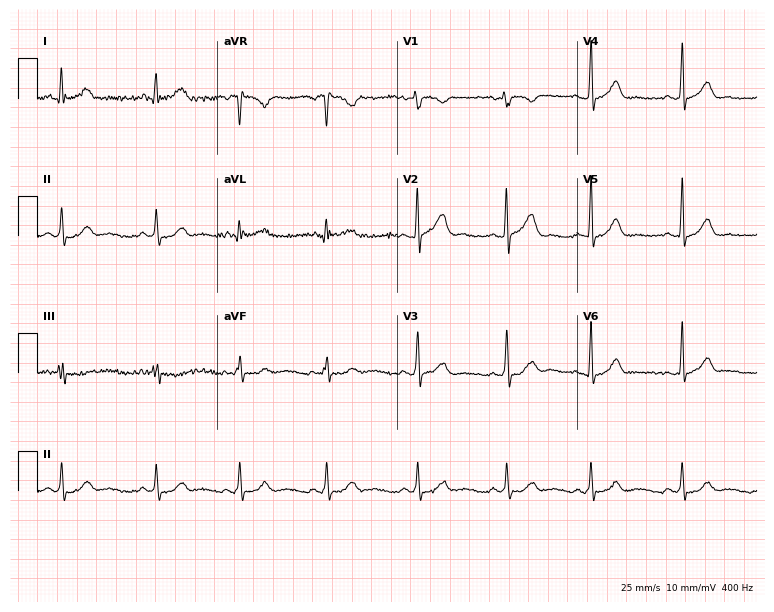
Standard 12-lead ECG recorded from a 36-year-old woman (7.3-second recording at 400 Hz). Read as a normal ECG.